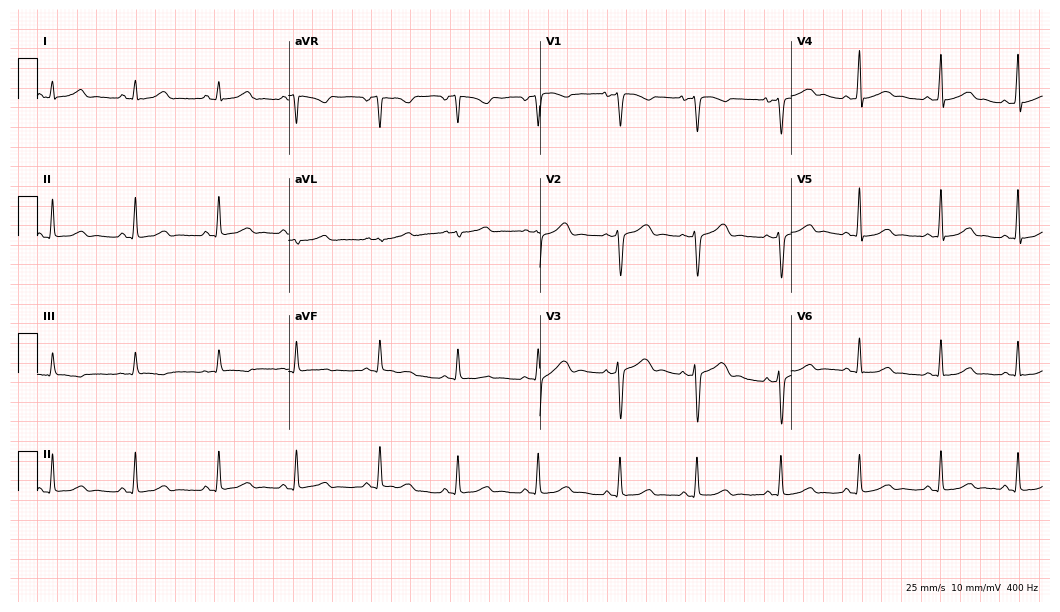
ECG (10.2-second recording at 400 Hz) — a female patient, 33 years old. Labelled as a normal ECG.